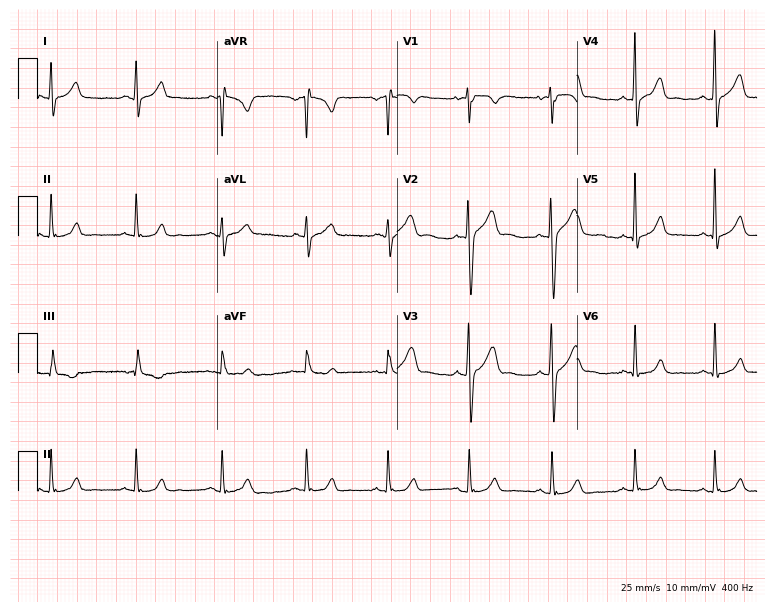
Electrocardiogram (7.3-second recording at 400 Hz), a 38-year-old male. Overall reading on record: normal ECG.